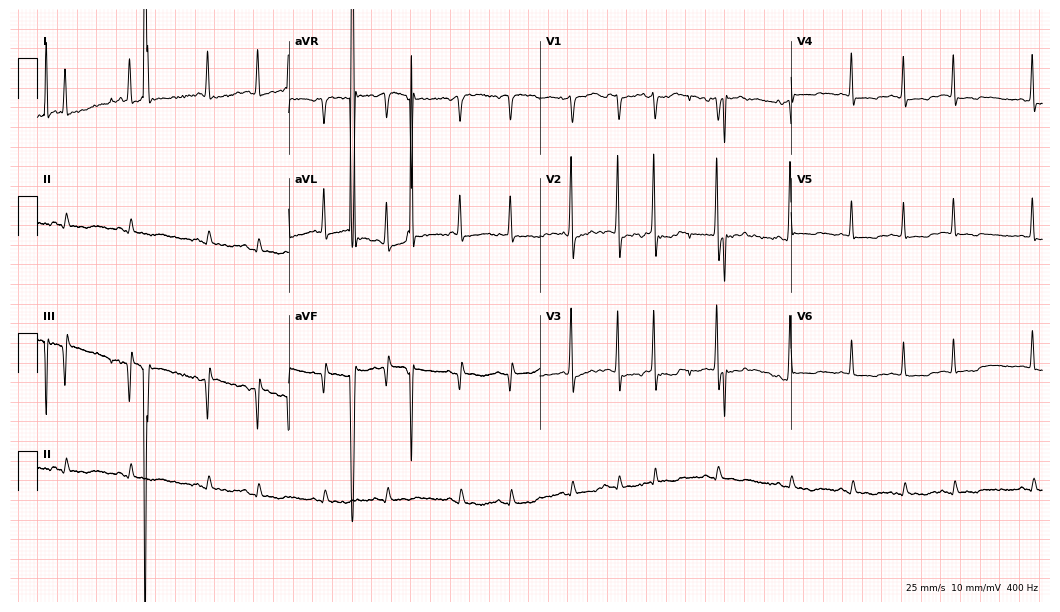
12-lead ECG from a male patient, 84 years old. No first-degree AV block, right bundle branch block (RBBB), left bundle branch block (LBBB), sinus bradycardia, atrial fibrillation (AF) or sinus tachycardia recorded for this tracing. Findings outside these six are not listed.